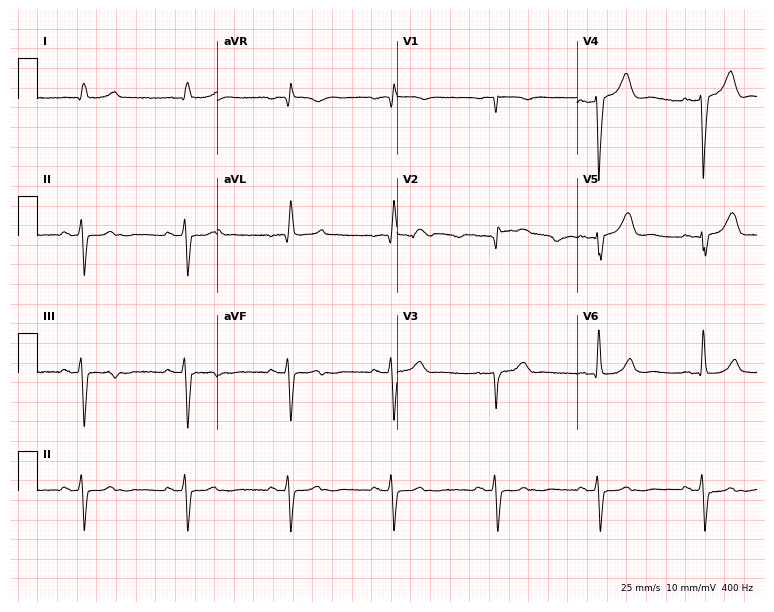
Resting 12-lead electrocardiogram (7.3-second recording at 400 Hz). Patient: a 78-year-old man. None of these six findings is recorded: first-degree AV block, right bundle branch block (RBBB), left bundle branch block (LBBB), sinus bradycardia, atrial fibrillation (AF), sinus tachycardia.